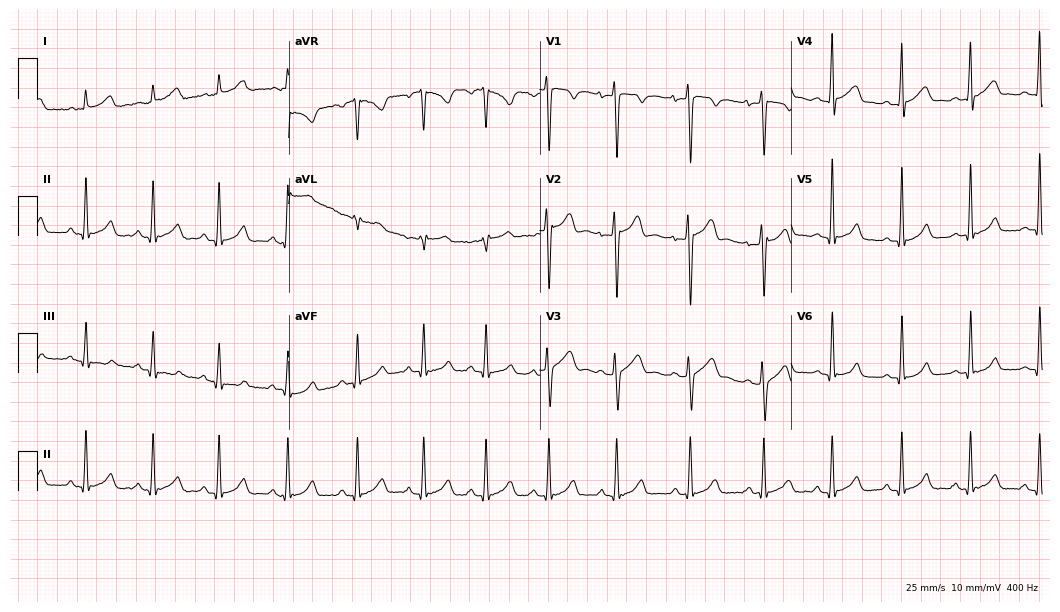
12-lead ECG from a 19-year-old man. Labelled as a normal ECG.